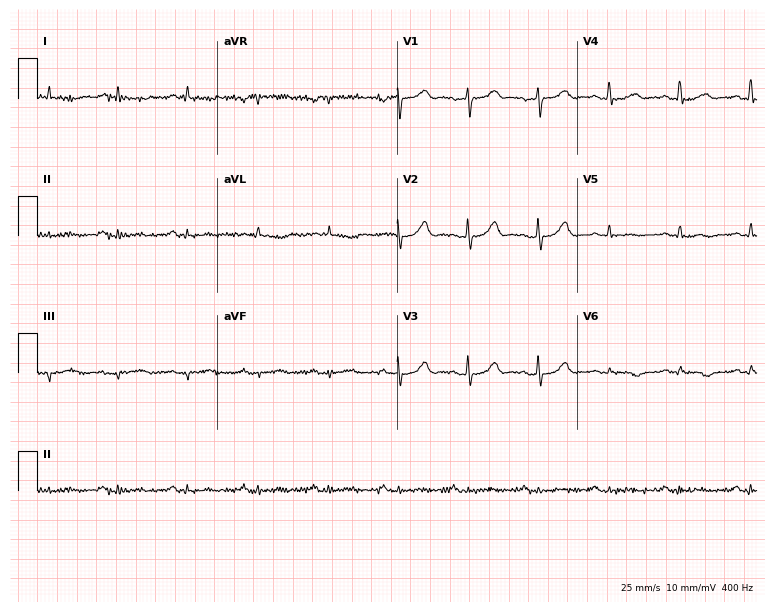
Standard 12-lead ECG recorded from a female patient, 69 years old (7.3-second recording at 400 Hz). None of these six findings is recorded: first-degree AV block, right bundle branch block, left bundle branch block, sinus bradycardia, atrial fibrillation, sinus tachycardia. Findings outside these six are not listed.